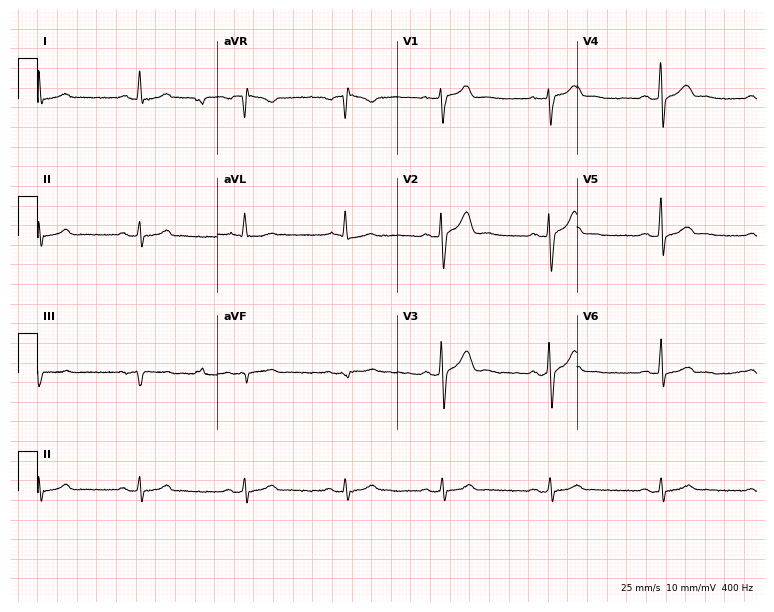
Electrocardiogram, a 43-year-old male patient. Overall reading on record: normal ECG.